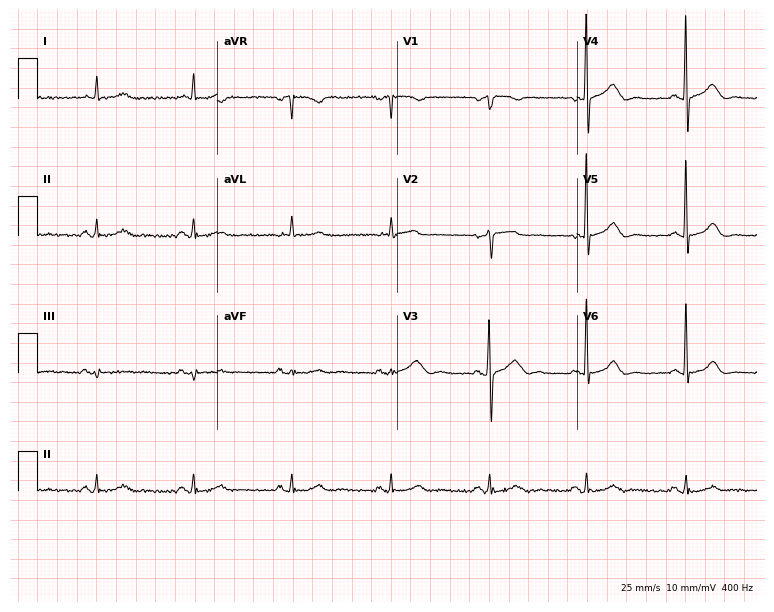
12-lead ECG from an 80-year-old female patient. Screened for six findings — first-degree AV block, right bundle branch block, left bundle branch block, sinus bradycardia, atrial fibrillation, sinus tachycardia — none is recorded. Other findings, if any, are not listed.